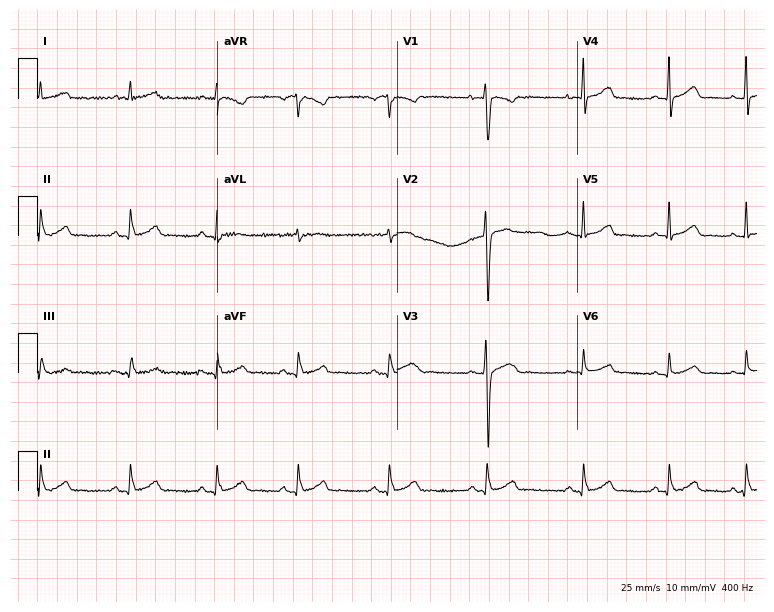
Standard 12-lead ECG recorded from a 33-year-old female patient. Read as a normal ECG.